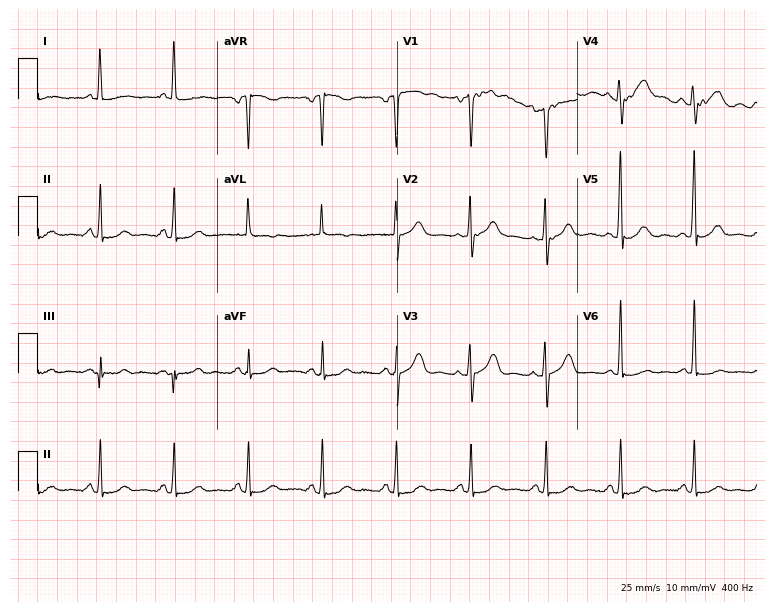
12-lead ECG (7.3-second recording at 400 Hz) from a 70-year-old female. Labelled as a normal ECG.